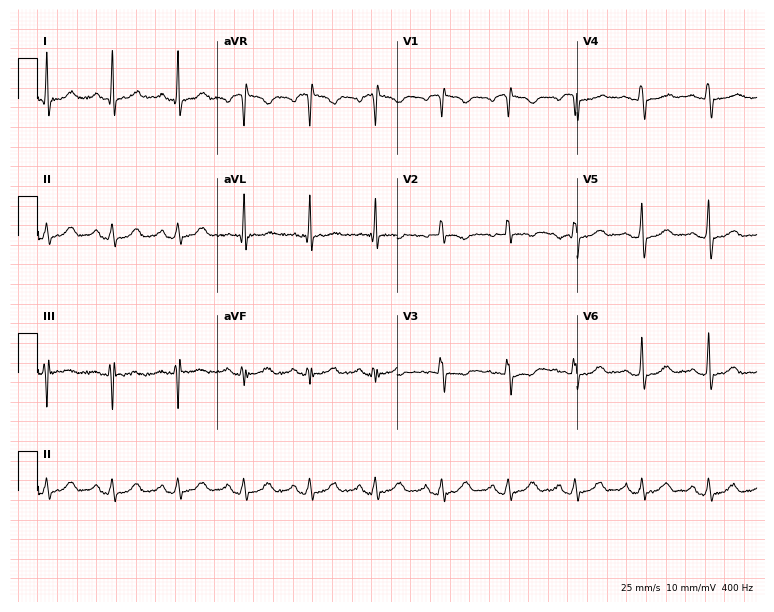
Electrocardiogram (7.3-second recording at 400 Hz), a female, 51 years old. Of the six screened findings (first-degree AV block, right bundle branch block (RBBB), left bundle branch block (LBBB), sinus bradycardia, atrial fibrillation (AF), sinus tachycardia), none is recorded. Findings outside these six are not listed.